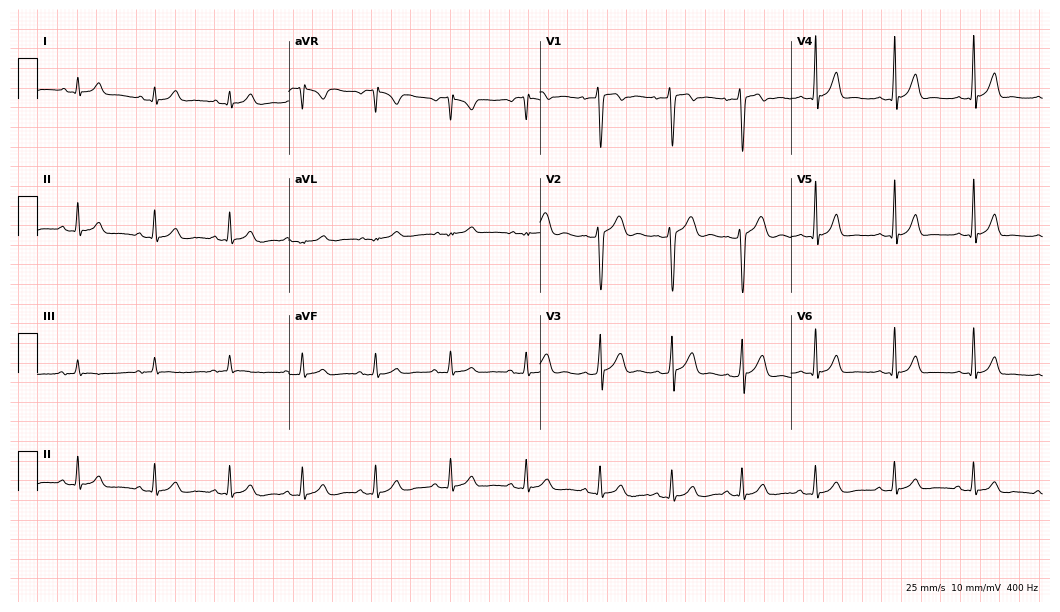
Standard 12-lead ECG recorded from a 19-year-old male patient (10.2-second recording at 400 Hz). Read as a normal ECG.